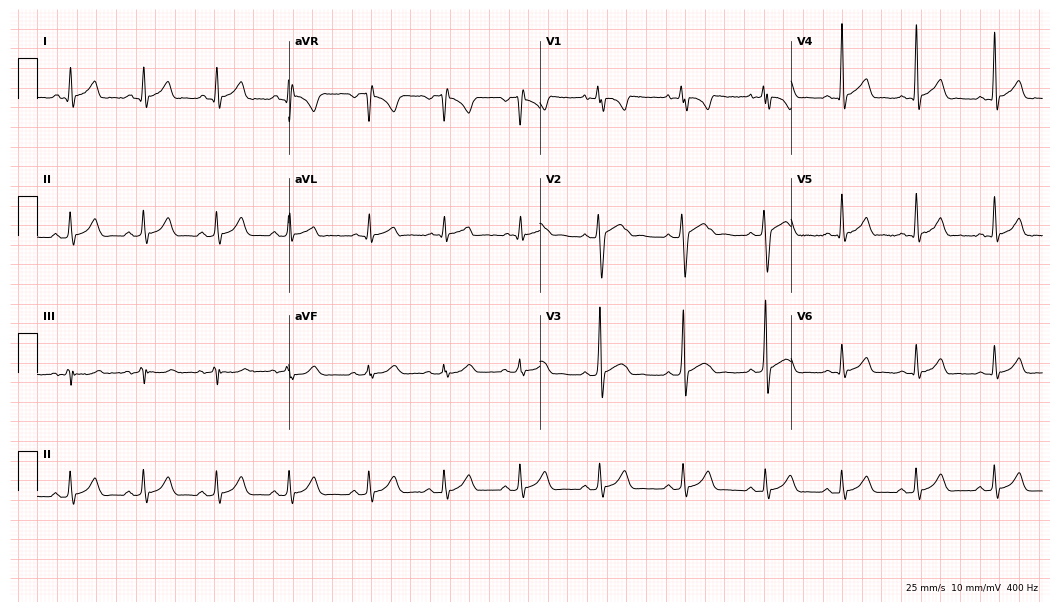
12-lead ECG (10.2-second recording at 400 Hz) from a man, 28 years old. Labelled as a normal ECG.